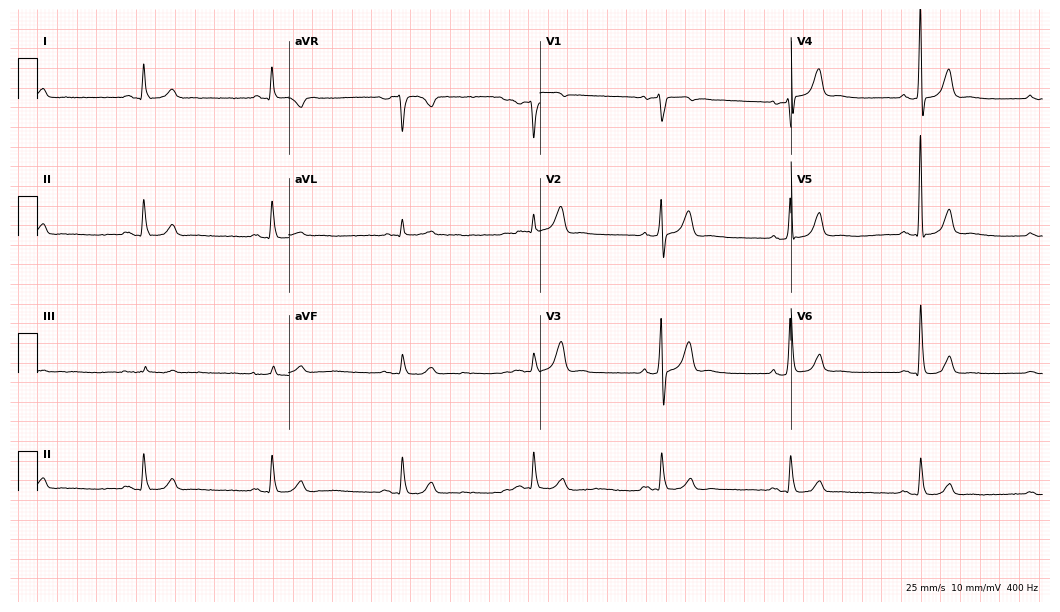
ECG (10.2-second recording at 400 Hz) — a man, 79 years old. Findings include sinus bradycardia (a sinus rate of 50 beats per minute or less).